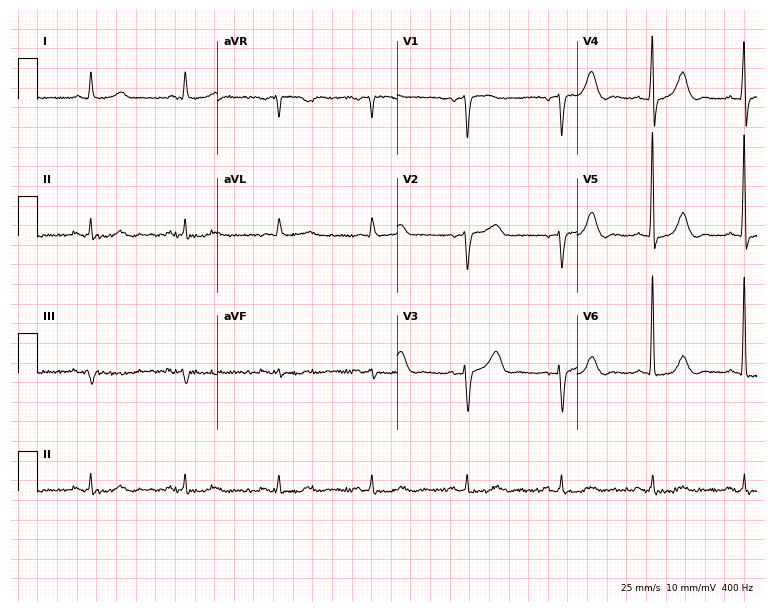
Resting 12-lead electrocardiogram (7.3-second recording at 400 Hz). Patient: a 66-year-old woman. Read as a normal ECG.